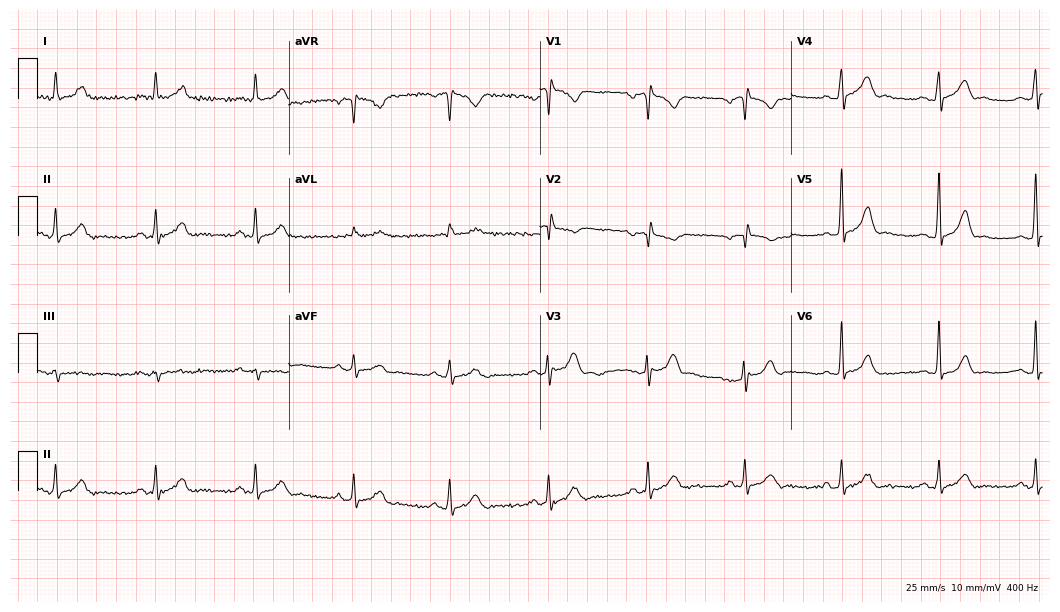
12-lead ECG (10.2-second recording at 400 Hz) from a male patient, 36 years old. Screened for six findings — first-degree AV block, right bundle branch block, left bundle branch block, sinus bradycardia, atrial fibrillation, sinus tachycardia — none is recorded. Findings outside these six are not listed.